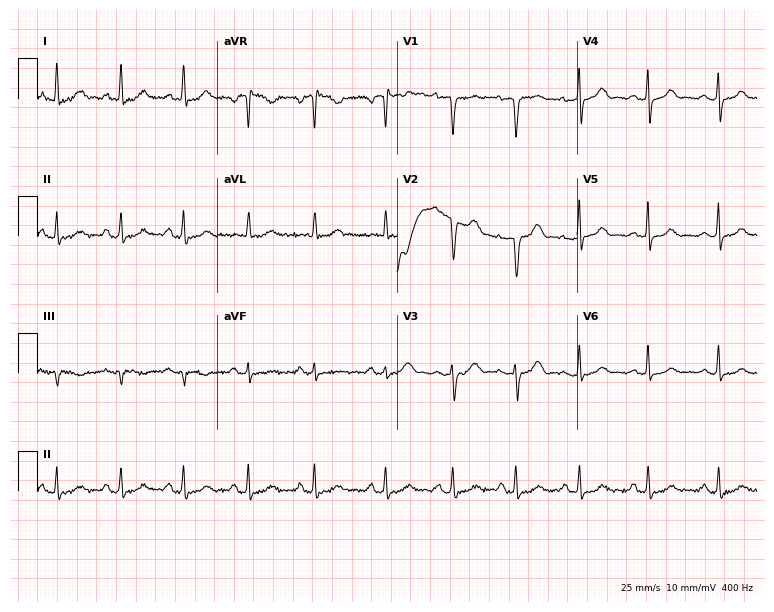
12-lead ECG (7.3-second recording at 400 Hz) from a woman, 46 years old. Labelled as a normal ECG.